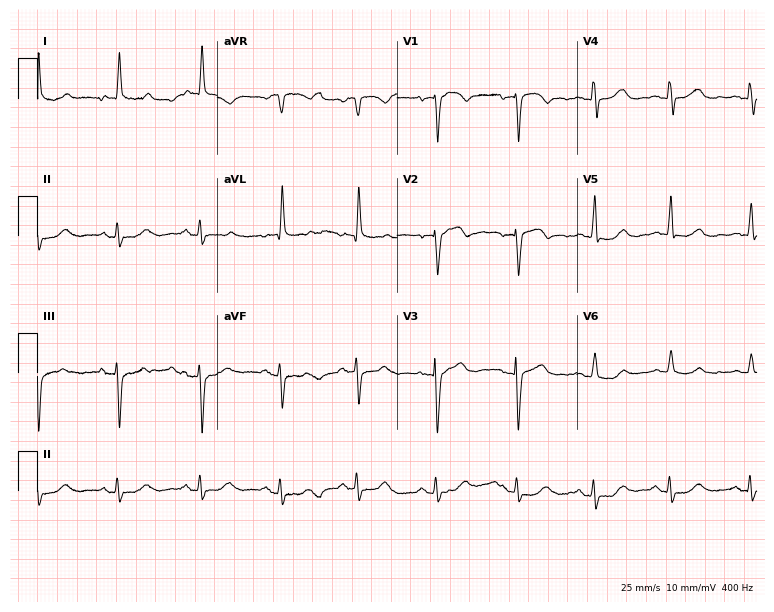
12-lead ECG from a 71-year-old female (7.3-second recording at 400 Hz). No first-degree AV block, right bundle branch block, left bundle branch block, sinus bradycardia, atrial fibrillation or sinus tachycardia recorded for this tracing. Other findings, if any, are not listed.